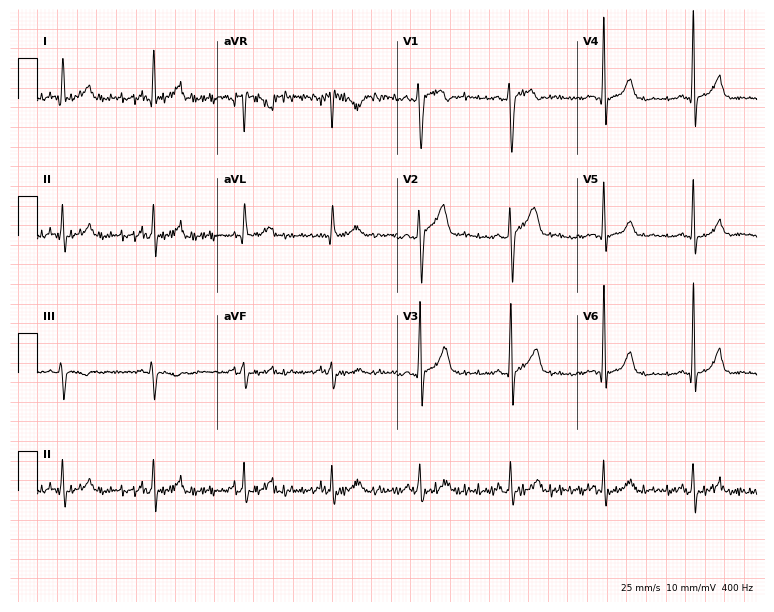
12-lead ECG from a male, 35 years old (7.3-second recording at 400 Hz). No first-degree AV block, right bundle branch block (RBBB), left bundle branch block (LBBB), sinus bradycardia, atrial fibrillation (AF) or sinus tachycardia recorded for this tracing.